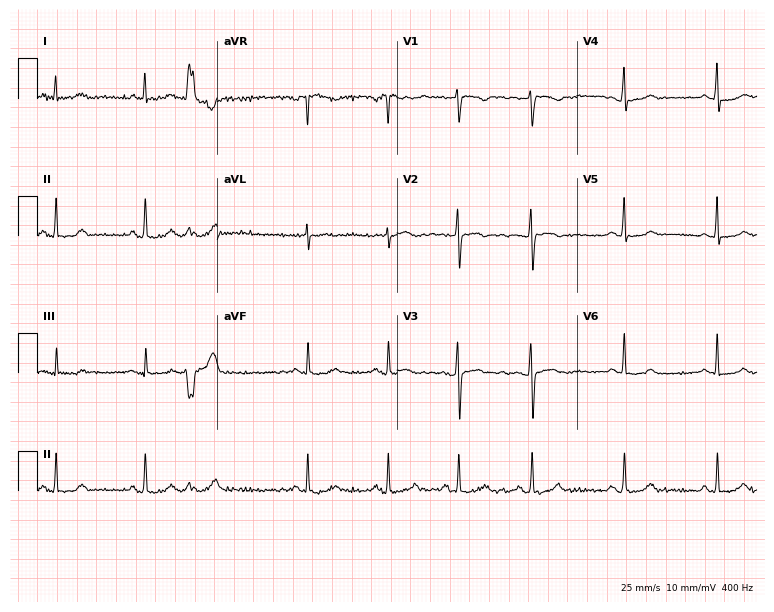
Resting 12-lead electrocardiogram (7.3-second recording at 400 Hz). Patient: a 22-year-old woman. None of these six findings is recorded: first-degree AV block, right bundle branch block, left bundle branch block, sinus bradycardia, atrial fibrillation, sinus tachycardia.